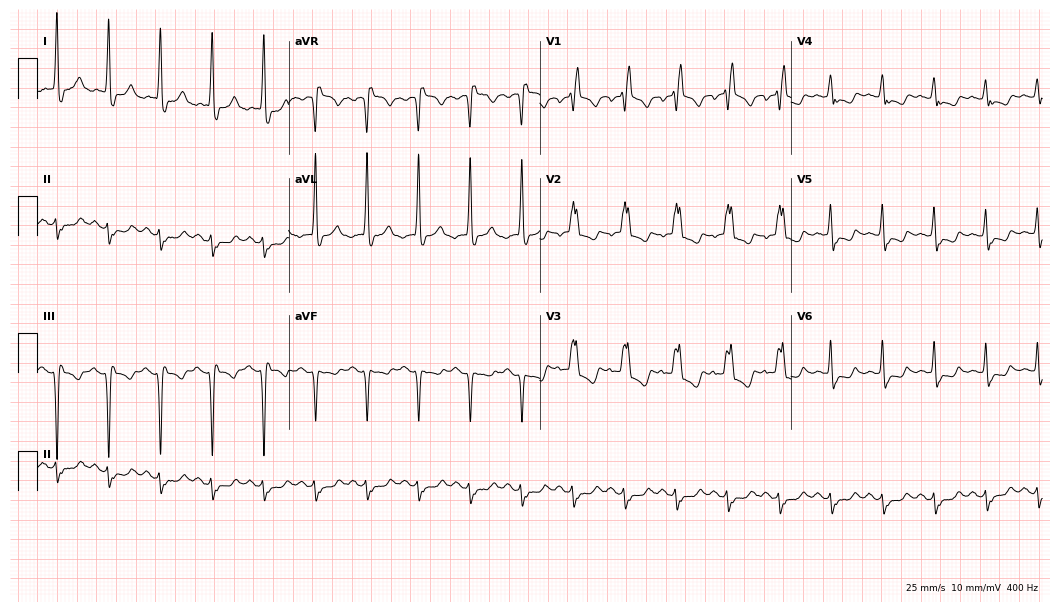
12-lead ECG from a 71-year-old woman (10.2-second recording at 400 Hz). No first-degree AV block, right bundle branch block, left bundle branch block, sinus bradycardia, atrial fibrillation or sinus tachycardia recorded for this tracing.